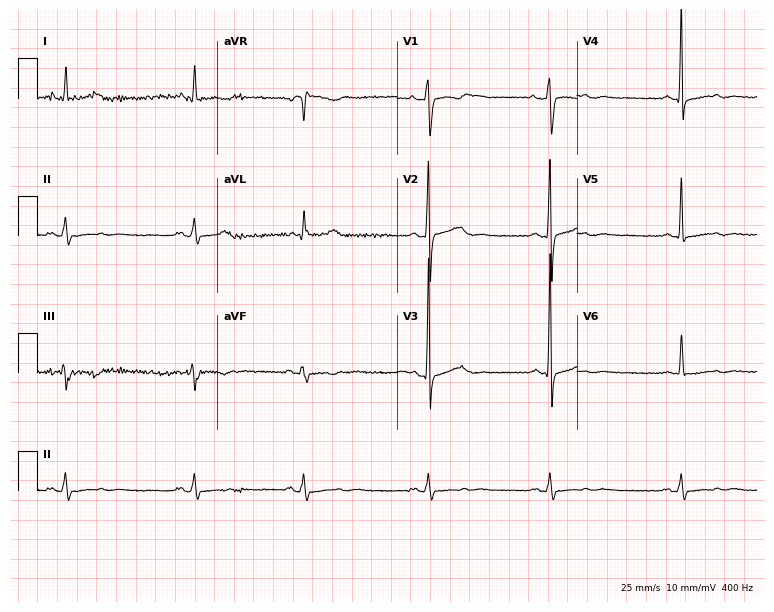
Standard 12-lead ECG recorded from a male patient, 70 years old (7.3-second recording at 400 Hz). The tracing shows sinus bradycardia (a sinus rate of 50 beats per minute or less).